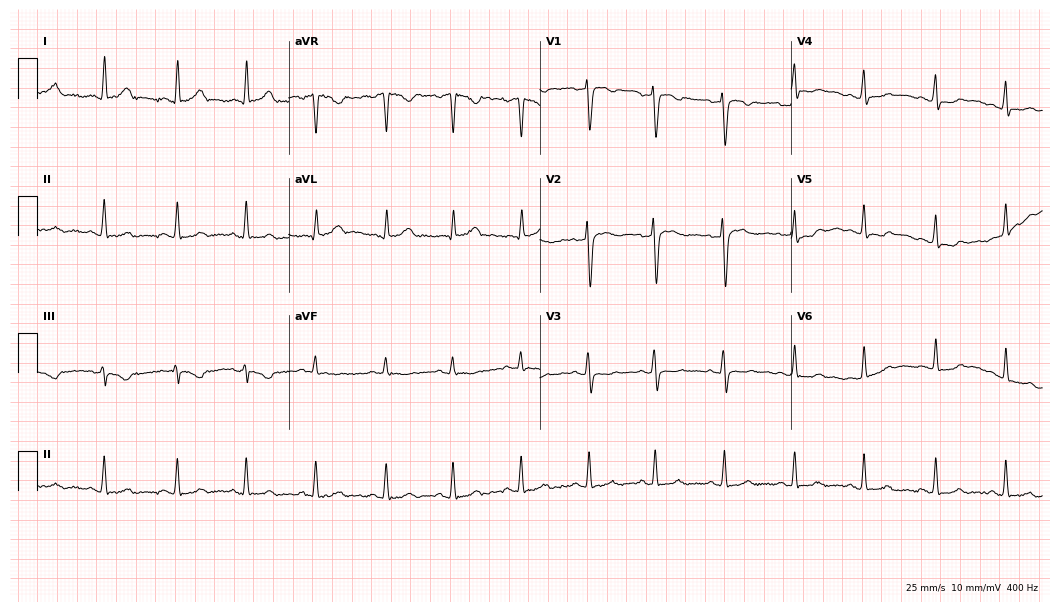
Resting 12-lead electrocardiogram. Patient: a female, 31 years old. Read as a normal ECG.